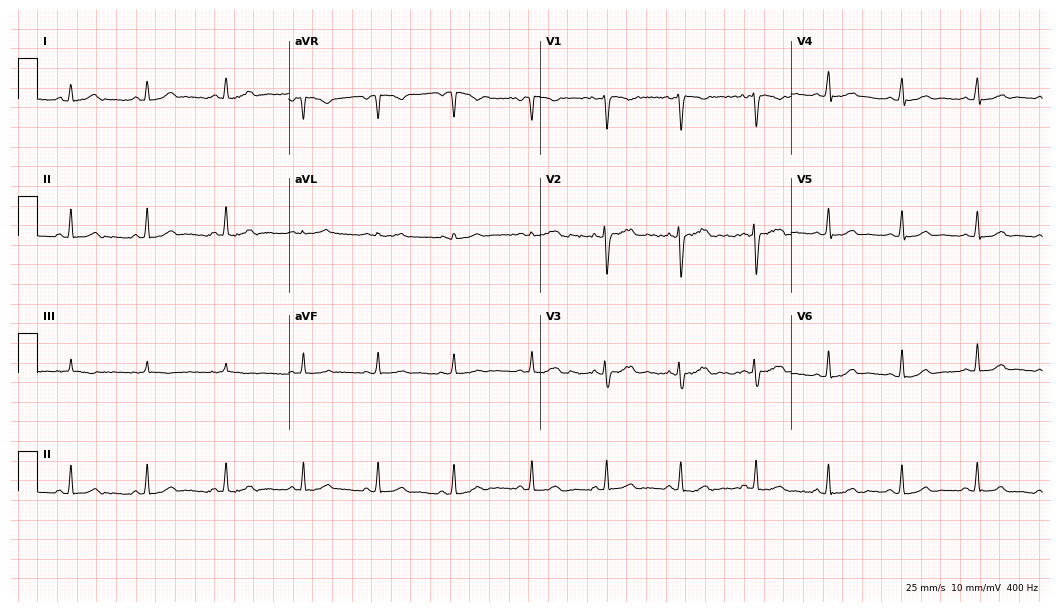
ECG (10.2-second recording at 400 Hz) — a woman, 18 years old. Screened for six findings — first-degree AV block, right bundle branch block, left bundle branch block, sinus bradycardia, atrial fibrillation, sinus tachycardia — none is recorded.